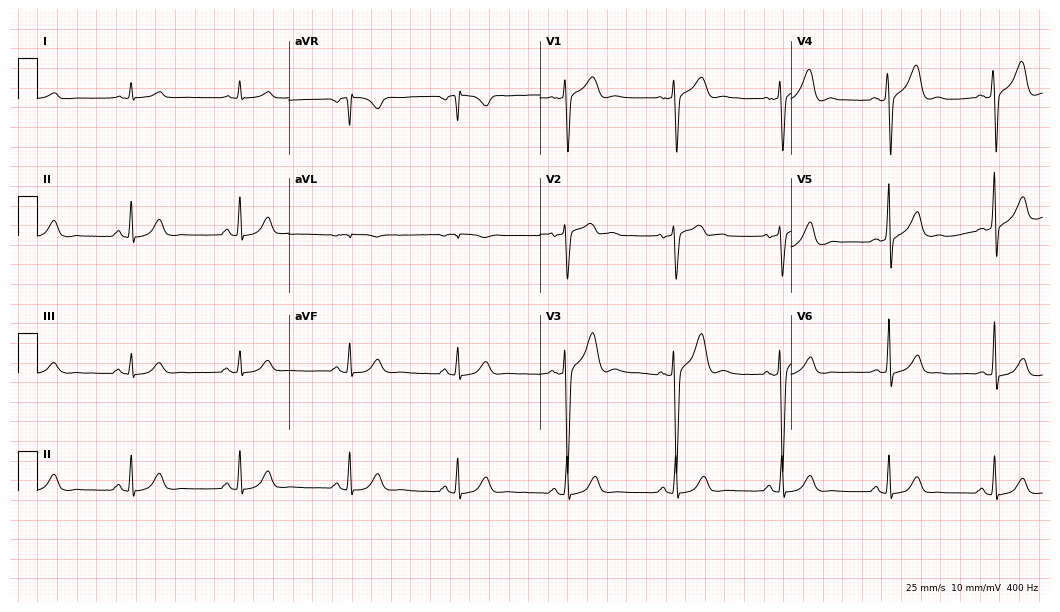
Resting 12-lead electrocardiogram. Patient: a male, 58 years old. Read as a normal ECG.